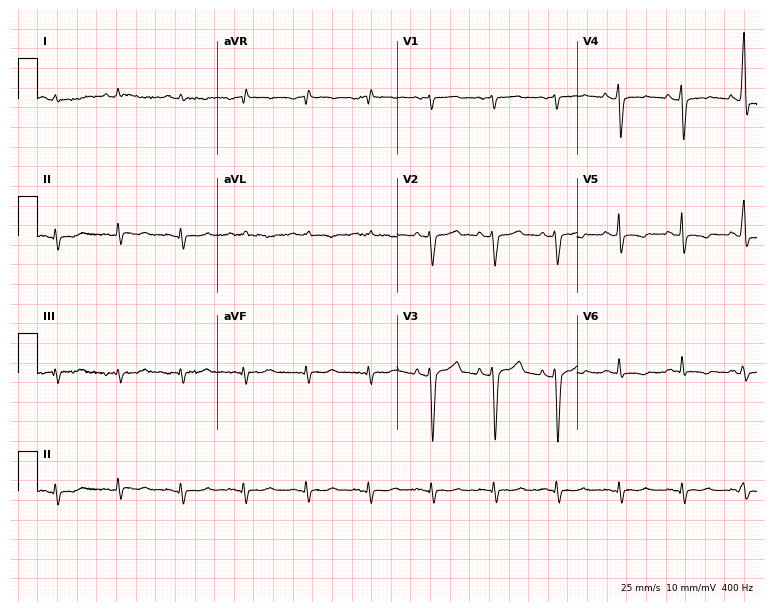
Standard 12-lead ECG recorded from an 85-year-old male (7.3-second recording at 400 Hz). None of these six findings is recorded: first-degree AV block, right bundle branch block (RBBB), left bundle branch block (LBBB), sinus bradycardia, atrial fibrillation (AF), sinus tachycardia. Only these six findings were labelled.